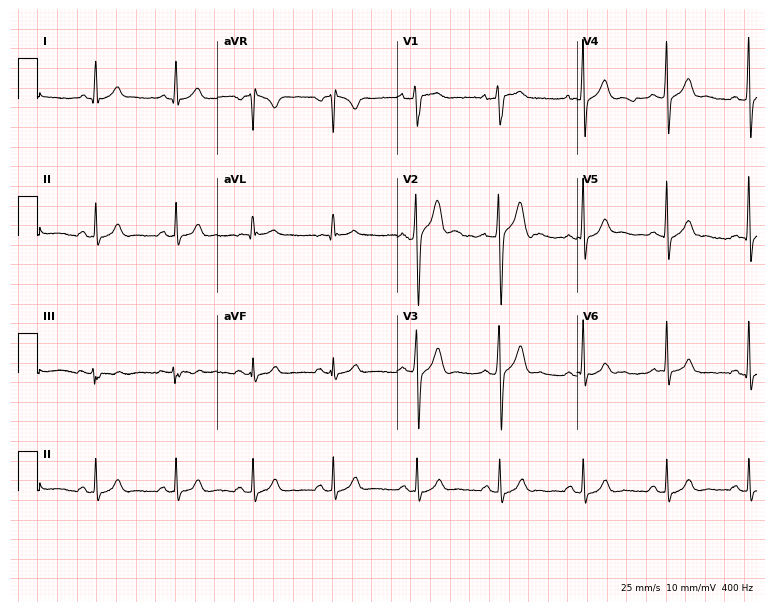
Standard 12-lead ECG recorded from a 31-year-old man (7.3-second recording at 400 Hz). Read as a normal ECG.